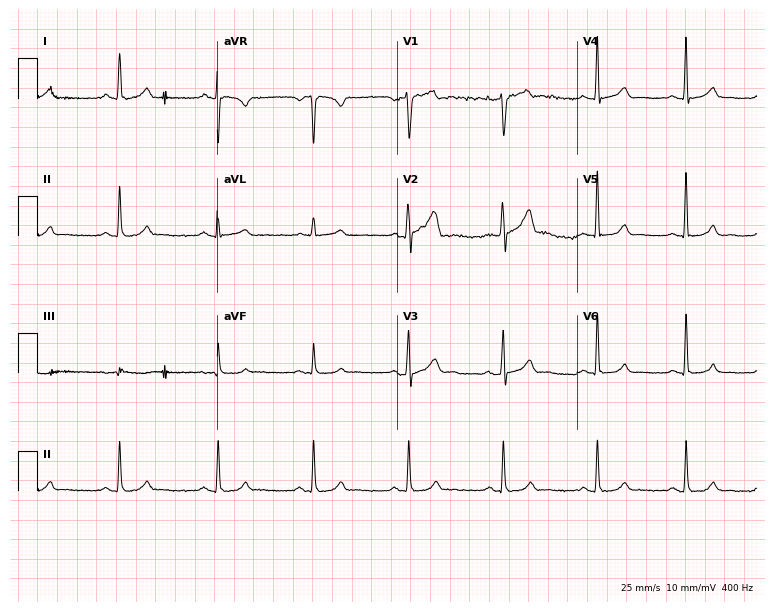
Electrocardiogram (7.3-second recording at 400 Hz), a man, 55 years old. Overall reading on record: normal ECG.